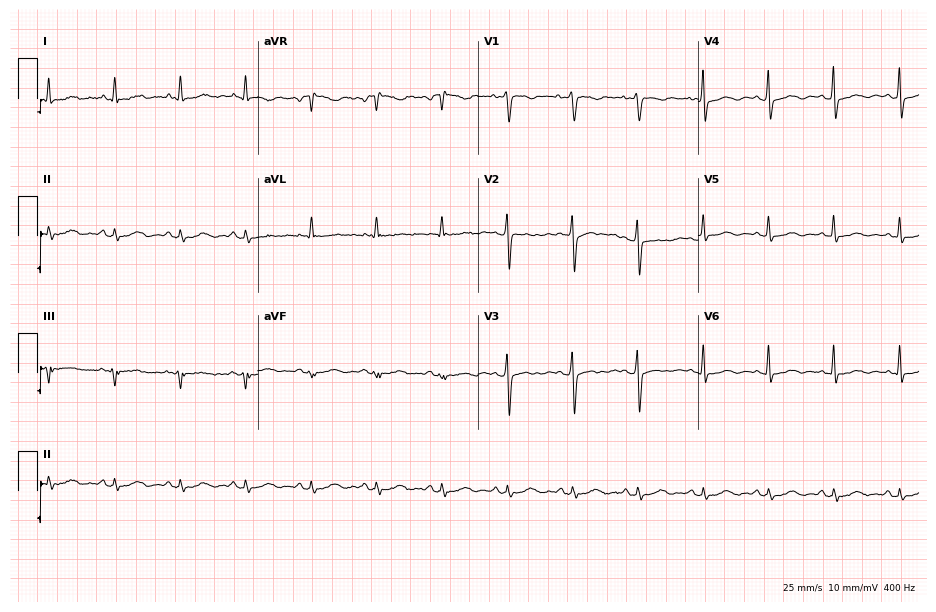
12-lead ECG from a female, 59 years old (9-second recording at 400 Hz). No first-degree AV block, right bundle branch block, left bundle branch block, sinus bradycardia, atrial fibrillation or sinus tachycardia recorded for this tracing.